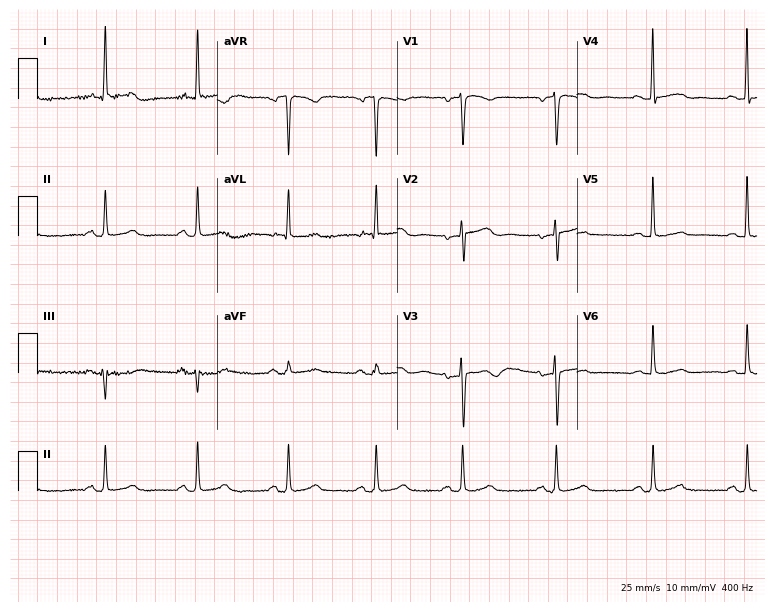
ECG (7.3-second recording at 400 Hz) — a female patient, 78 years old. Screened for six findings — first-degree AV block, right bundle branch block (RBBB), left bundle branch block (LBBB), sinus bradycardia, atrial fibrillation (AF), sinus tachycardia — none is recorded.